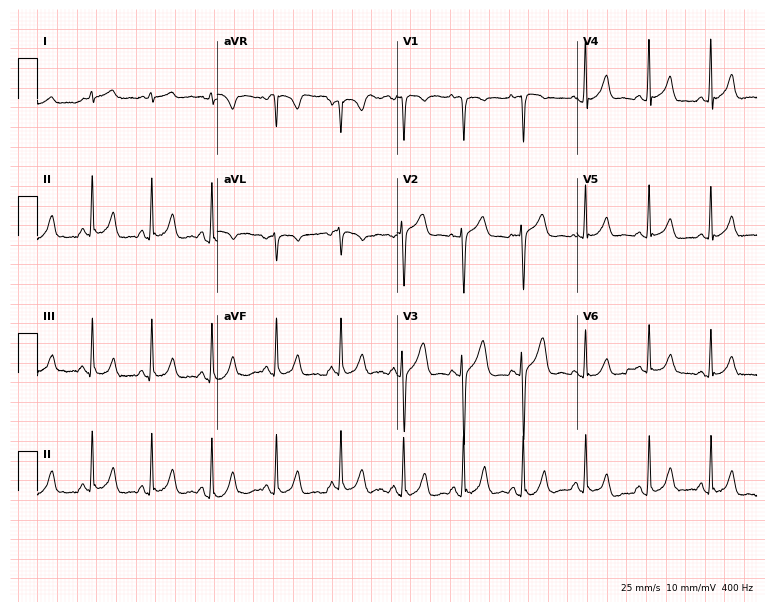
12-lead ECG (7.3-second recording at 400 Hz) from a female, 28 years old. Labelled as a normal ECG.